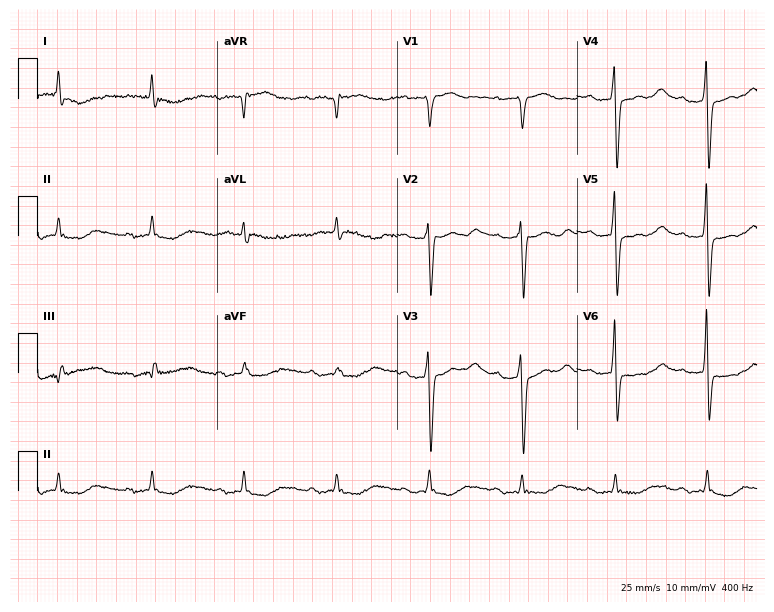
Electrocardiogram, a male patient, 76 years old. Interpretation includes first-degree AV block.